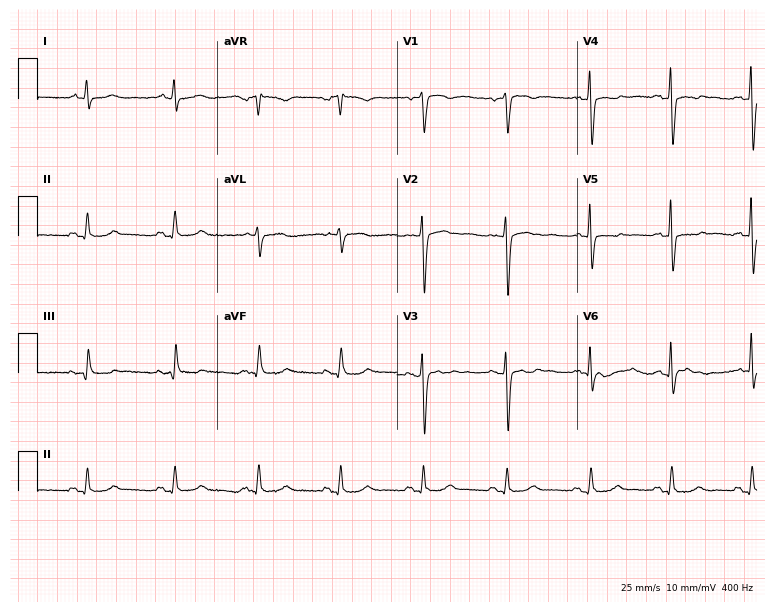
Electrocardiogram, a 59-year-old female. Of the six screened findings (first-degree AV block, right bundle branch block (RBBB), left bundle branch block (LBBB), sinus bradycardia, atrial fibrillation (AF), sinus tachycardia), none is recorded. Other findings, if any, are not listed.